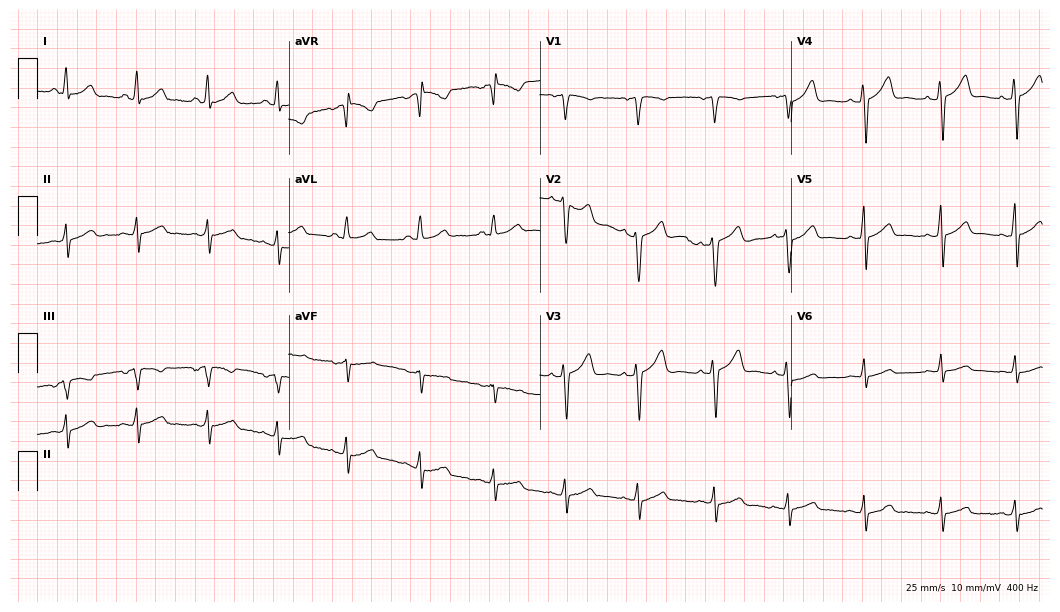
12-lead ECG from a female, 40 years old. Recorded interpretation: within normal limits.